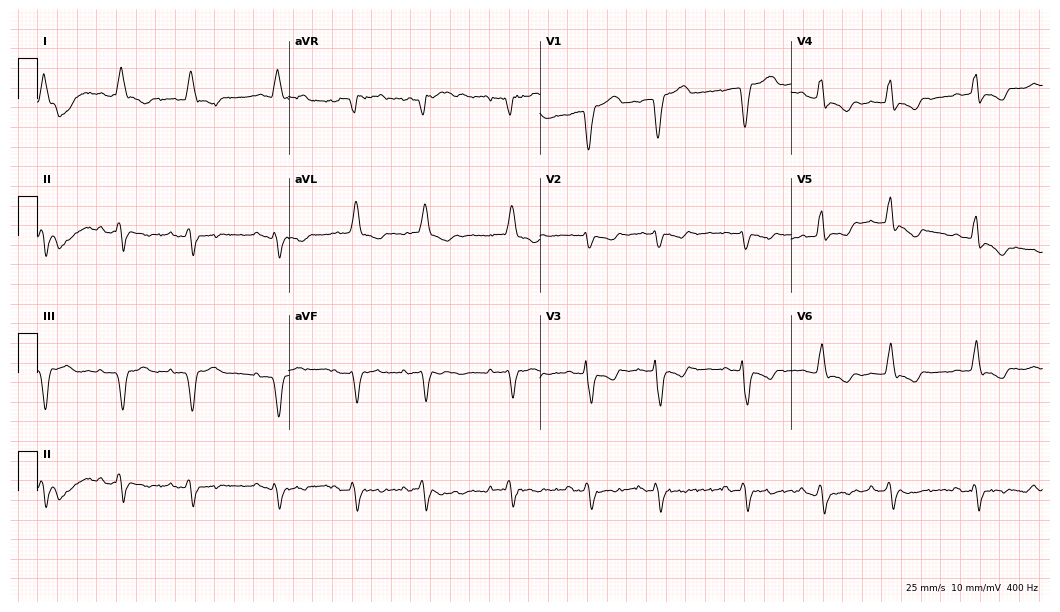
ECG — an 85-year-old male. Findings include left bundle branch block (LBBB).